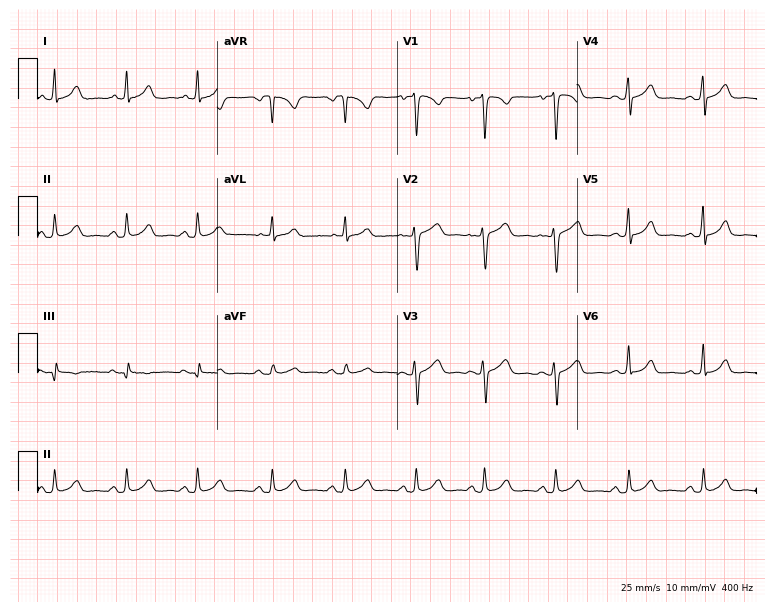
12-lead ECG from a 29-year-old female patient. Screened for six findings — first-degree AV block, right bundle branch block, left bundle branch block, sinus bradycardia, atrial fibrillation, sinus tachycardia — none is recorded.